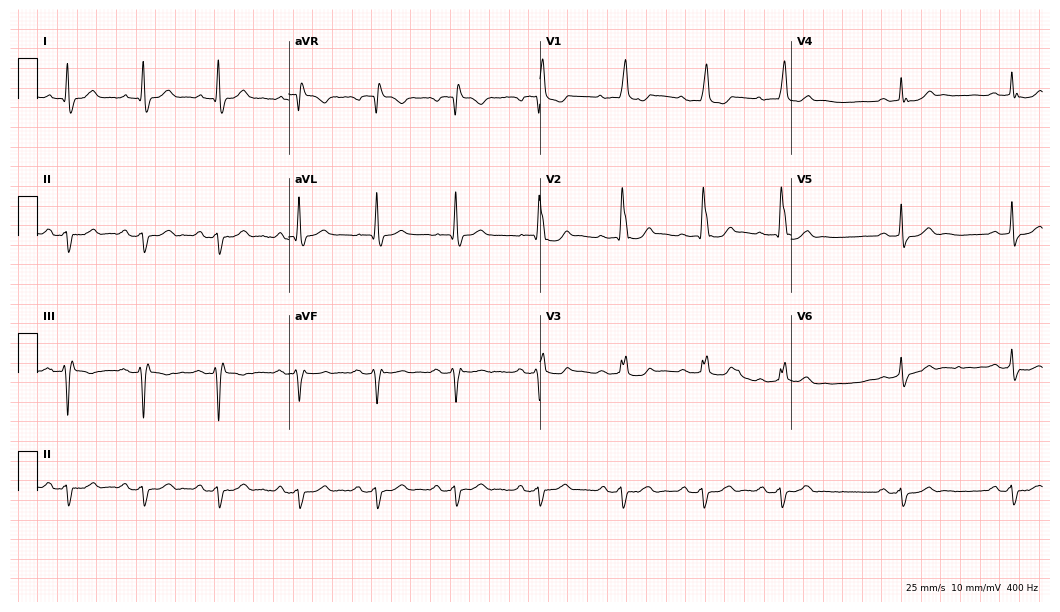
12-lead ECG from a male patient, 81 years old. Findings include right bundle branch block.